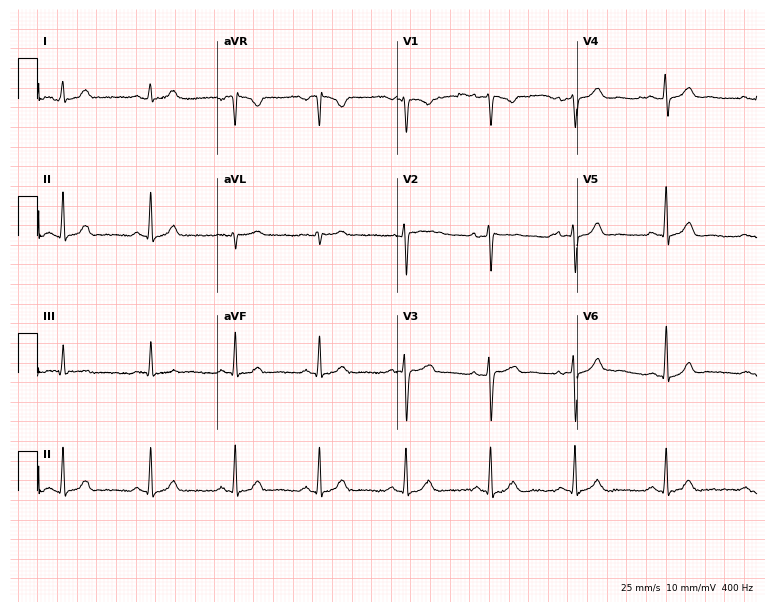
Standard 12-lead ECG recorded from a 33-year-old woman (7.3-second recording at 400 Hz). None of these six findings is recorded: first-degree AV block, right bundle branch block (RBBB), left bundle branch block (LBBB), sinus bradycardia, atrial fibrillation (AF), sinus tachycardia.